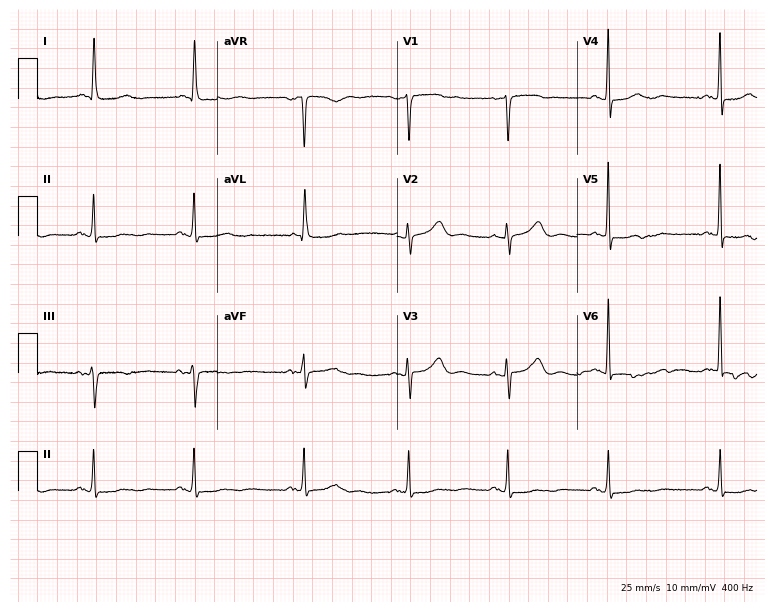
Resting 12-lead electrocardiogram. Patient: a 71-year-old female. None of these six findings is recorded: first-degree AV block, right bundle branch block, left bundle branch block, sinus bradycardia, atrial fibrillation, sinus tachycardia.